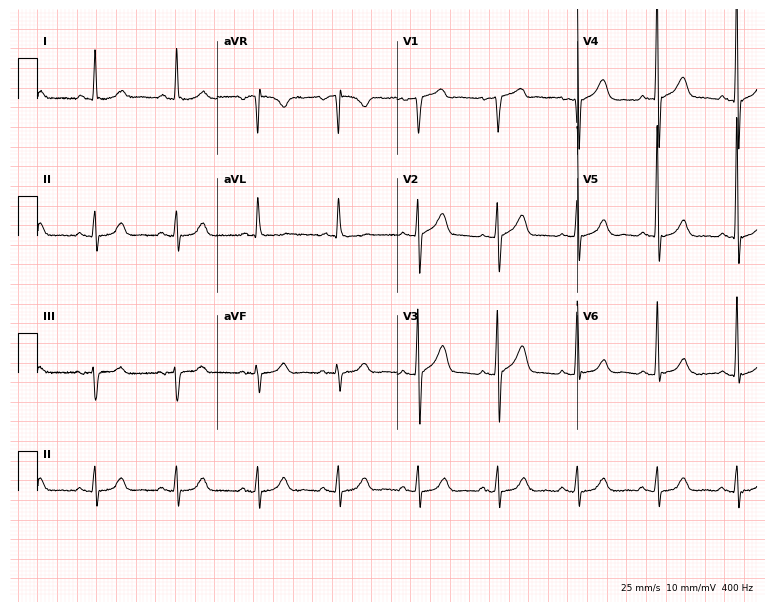
12-lead ECG from a man, 73 years old (7.3-second recording at 400 Hz). No first-degree AV block, right bundle branch block, left bundle branch block, sinus bradycardia, atrial fibrillation or sinus tachycardia recorded for this tracing. Other findings, if any, are not listed.